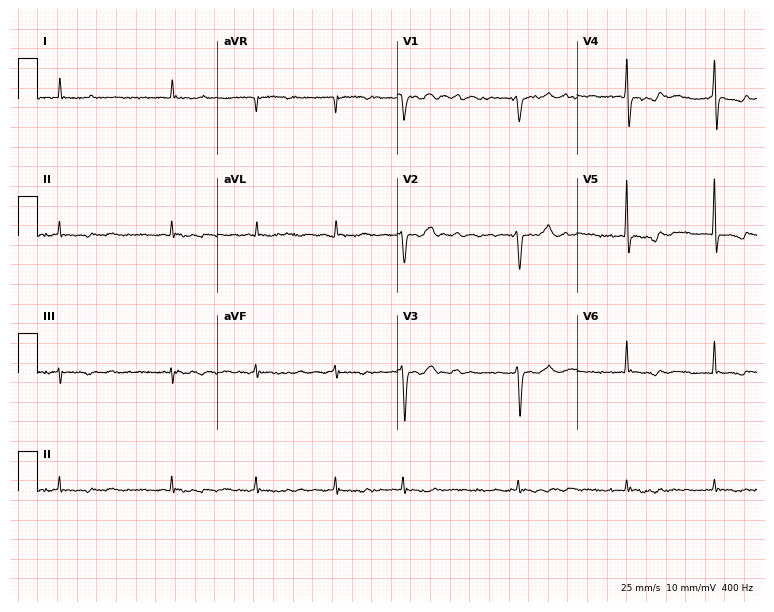
Electrocardiogram, a 79-year-old female. Of the six screened findings (first-degree AV block, right bundle branch block, left bundle branch block, sinus bradycardia, atrial fibrillation, sinus tachycardia), none is recorded. Only these six findings were labelled.